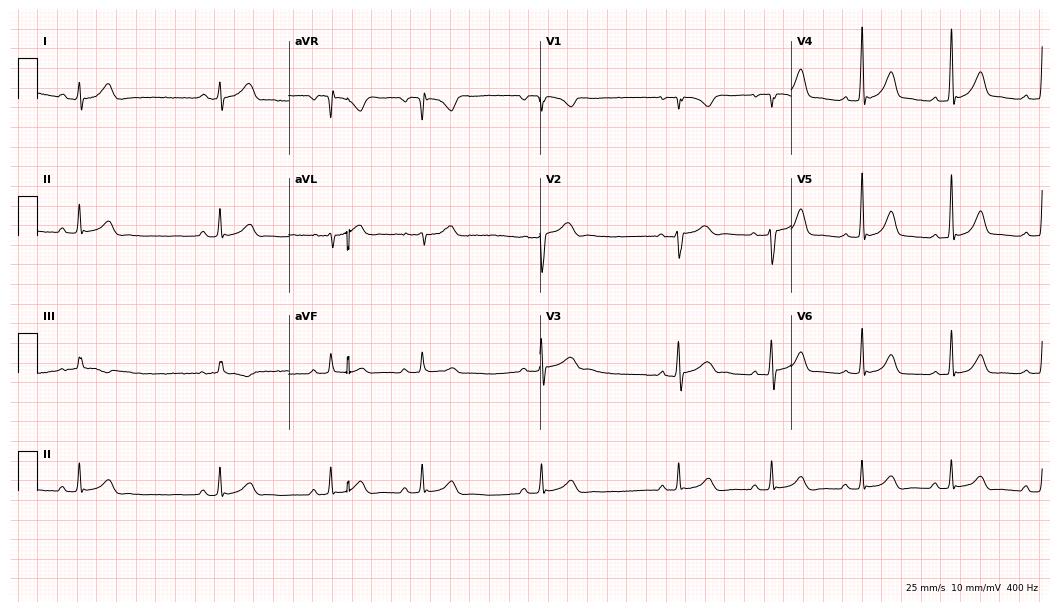
Resting 12-lead electrocardiogram (10.2-second recording at 400 Hz). Patient: a male, 18 years old. None of these six findings is recorded: first-degree AV block, right bundle branch block, left bundle branch block, sinus bradycardia, atrial fibrillation, sinus tachycardia. Other findings, if any, are not listed.